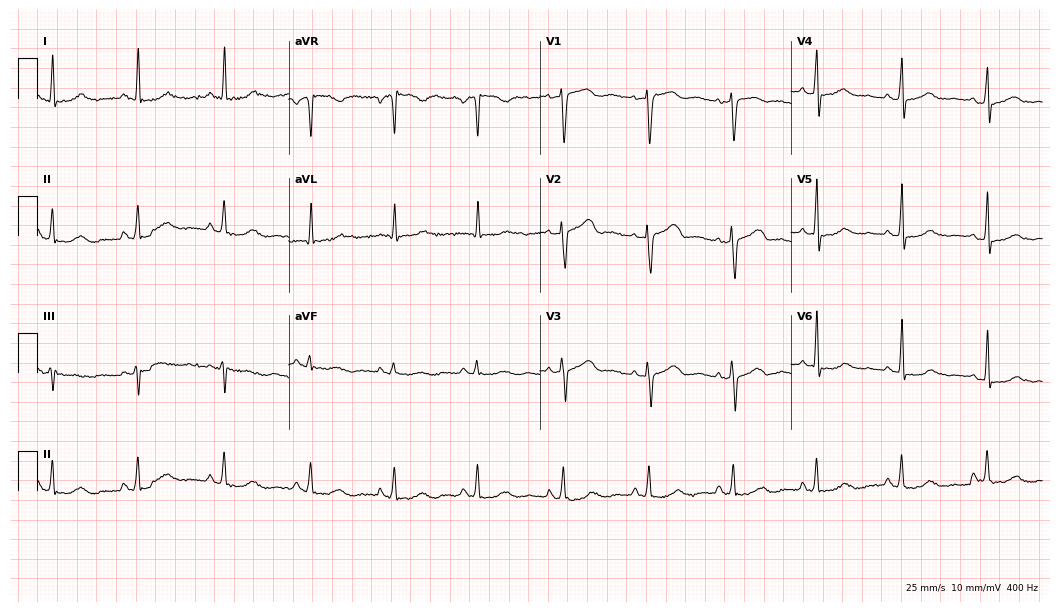
ECG (10.2-second recording at 400 Hz) — a female, 55 years old. Labelled as a normal ECG.